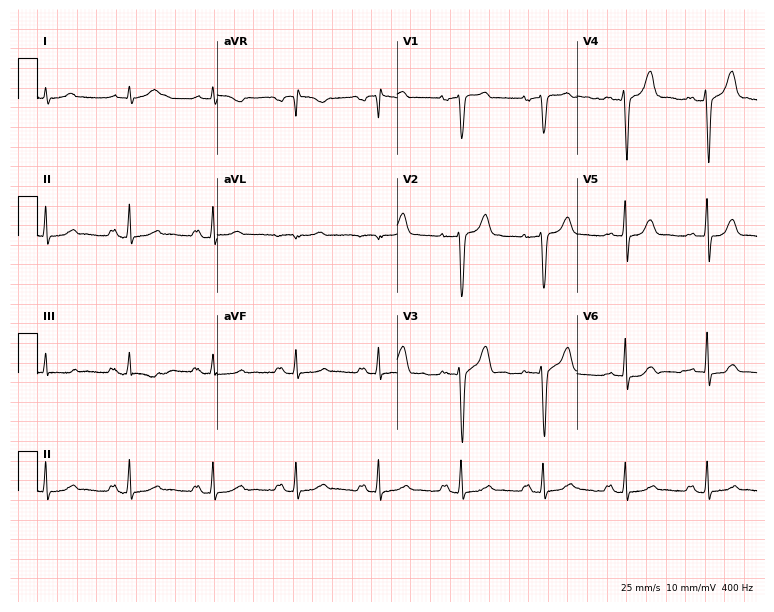
12-lead ECG from a male patient, 57 years old. Screened for six findings — first-degree AV block, right bundle branch block, left bundle branch block, sinus bradycardia, atrial fibrillation, sinus tachycardia — none is recorded.